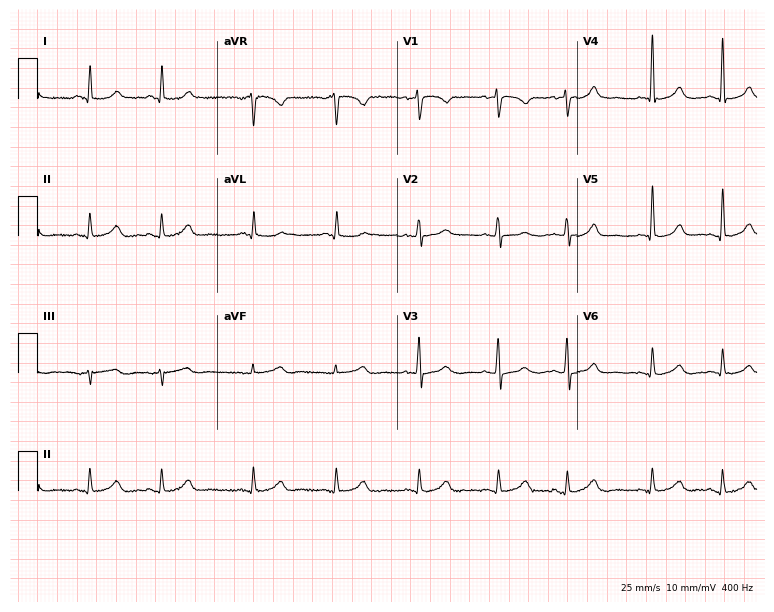
Standard 12-lead ECG recorded from a 53-year-old woman (7.3-second recording at 400 Hz). Read as a normal ECG.